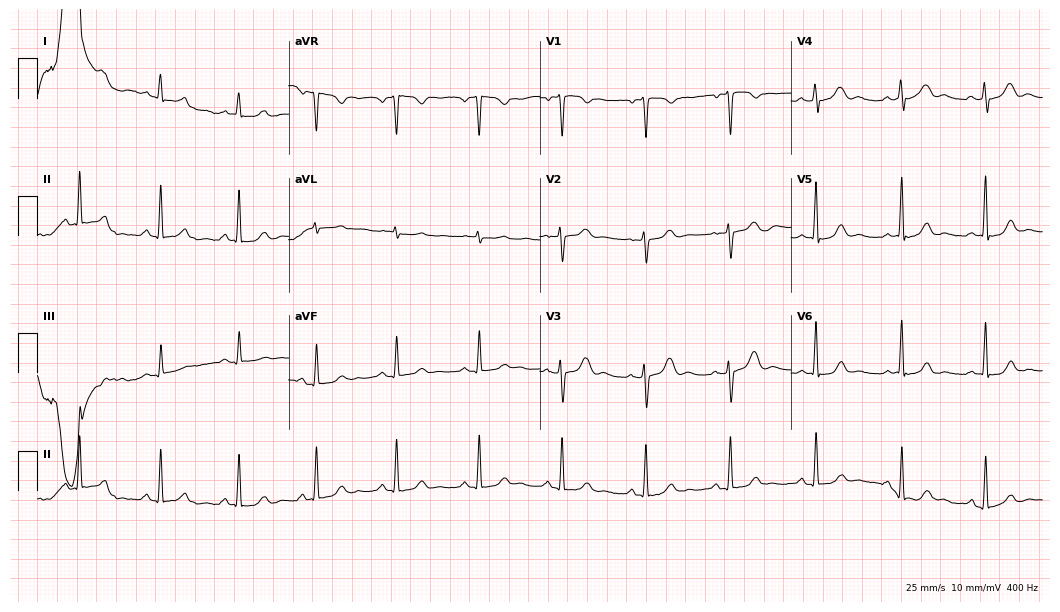
ECG (10.2-second recording at 400 Hz) — a 33-year-old female patient. Screened for six findings — first-degree AV block, right bundle branch block, left bundle branch block, sinus bradycardia, atrial fibrillation, sinus tachycardia — none is recorded.